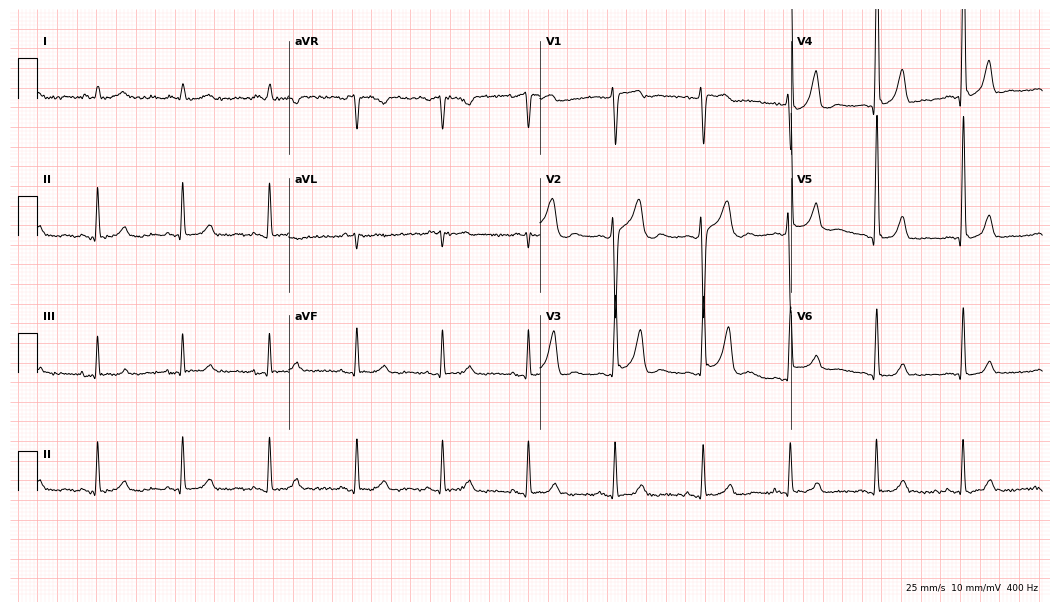
12-lead ECG from a male patient, 37 years old. No first-degree AV block, right bundle branch block, left bundle branch block, sinus bradycardia, atrial fibrillation or sinus tachycardia recorded for this tracing. Findings outside these six are not listed.